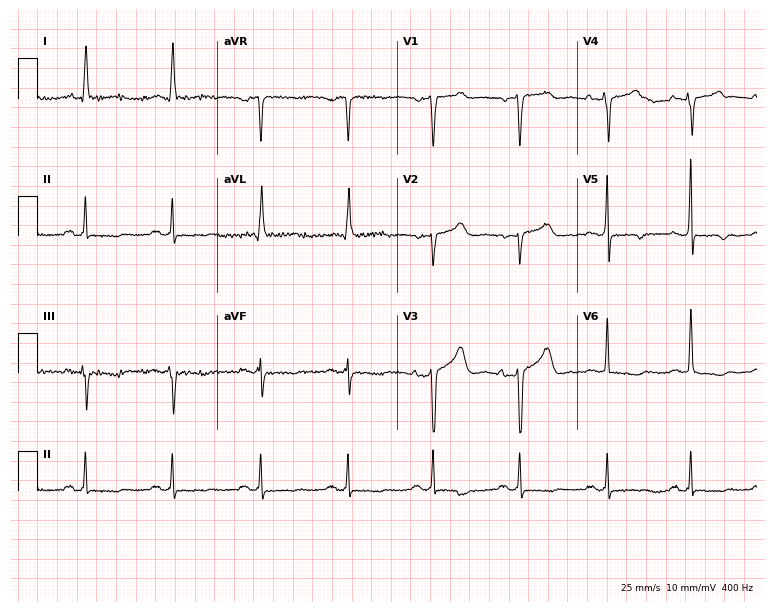
Electrocardiogram (7.3-second recording at 400 Hz), a male, 78 years old. Of the six screened findings (first-degree AV block, right bundle branch block (RBBB), left bundle branch block (LBBB), sinus bradycardia, atrial fibrillation (AF), sinus tachycardia), none is recorded. Findings outside these six are not listed.